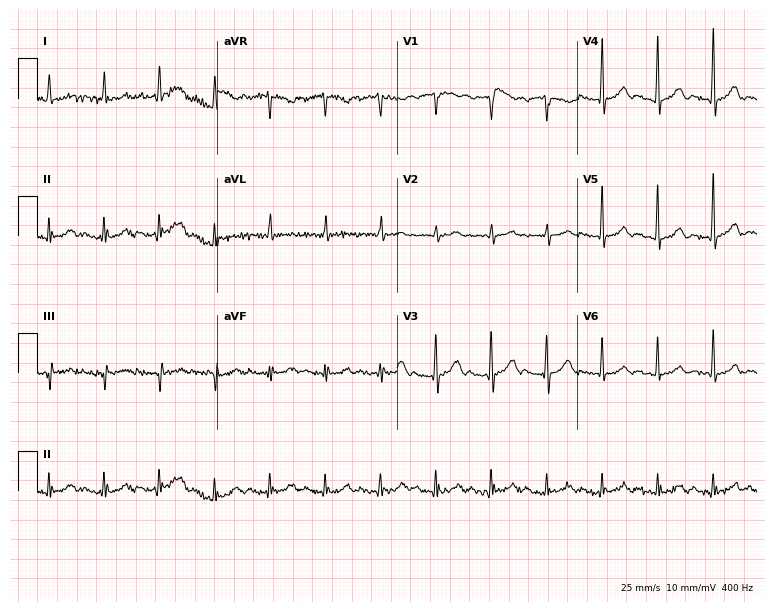
12-lead ECG from an 85-year-old male. No first-degree AV block, right bundle branch block, left bundle branch block, sinus bradycardia, atrial fibrillation or sinus tachycardia recorded for this tracing.